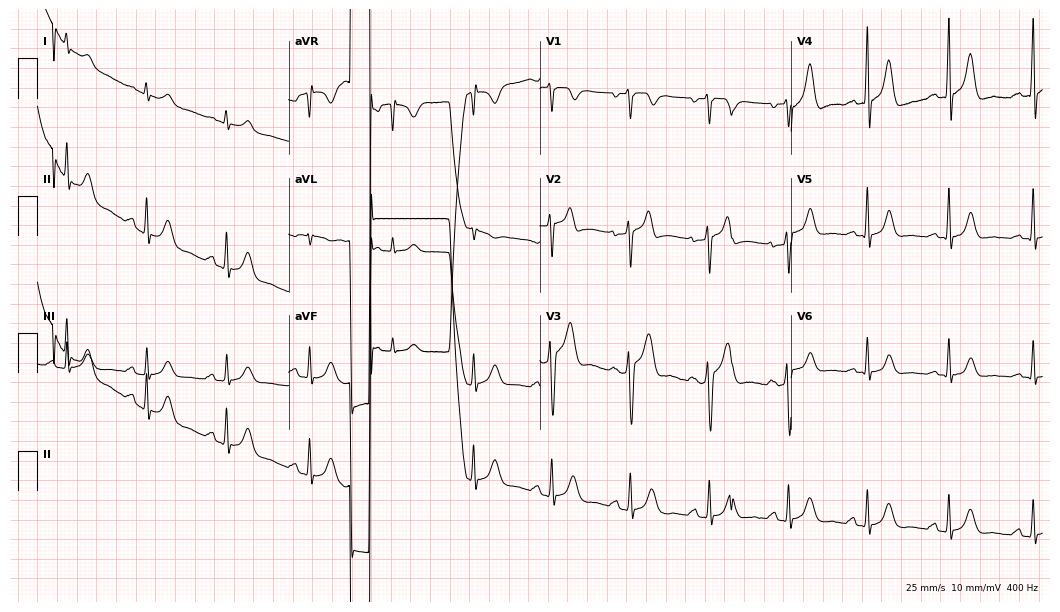
Electrocardiogram, a 41-year-old male. Of the six screened findings (first-degree AV block, right bundle branch block, left bundle branch block, sinus bradycardia, atrial fibrillation, sinus tachycardia), none is recorded.